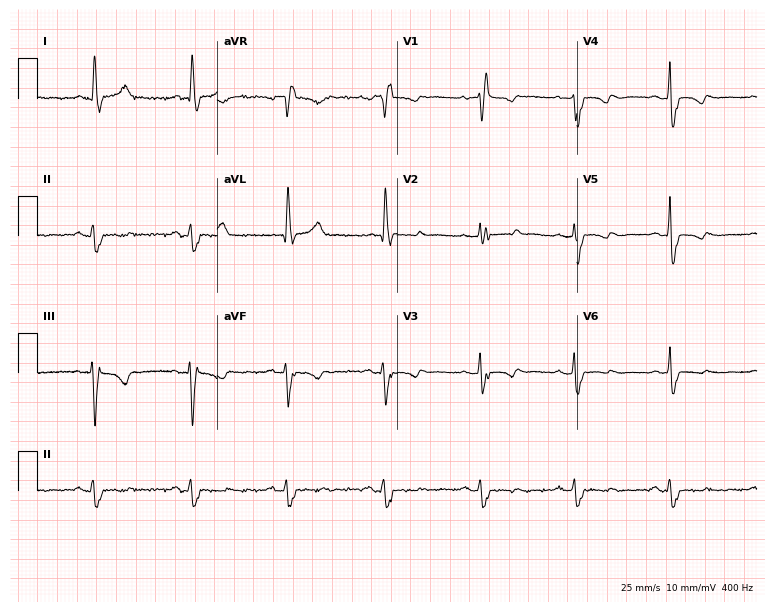
Standard 12-lead ECG recorded from a woman, 62 years old. The tracing shows right bundle branch block.